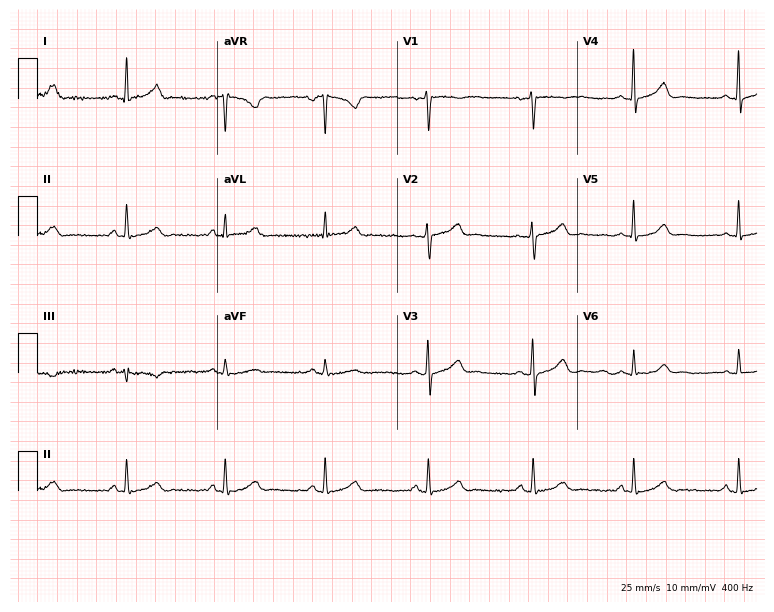
Resting 12-lead electrocardiogram (7.3-second recording at 400 Hz). Patient: a 46-year-old female. Read as a normal ECG.